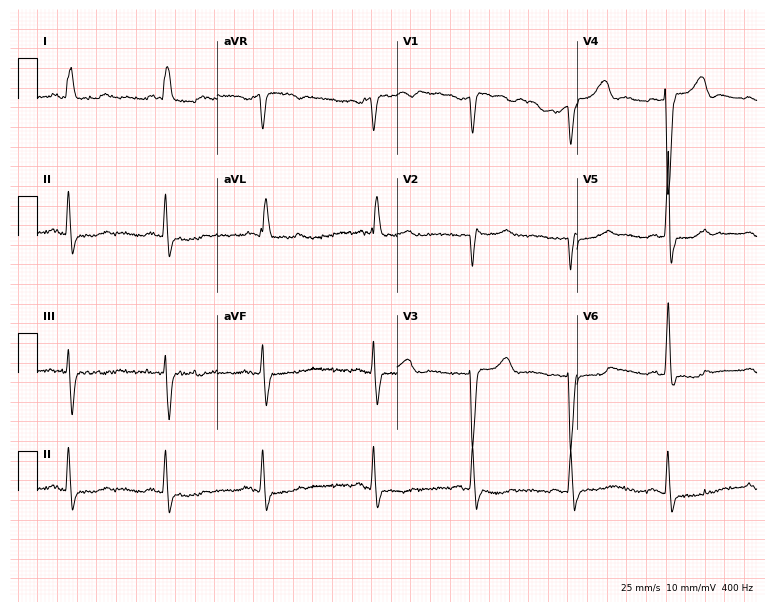
ECG — a female, 79 years old. Findings include right bundle branch block (RBBB).